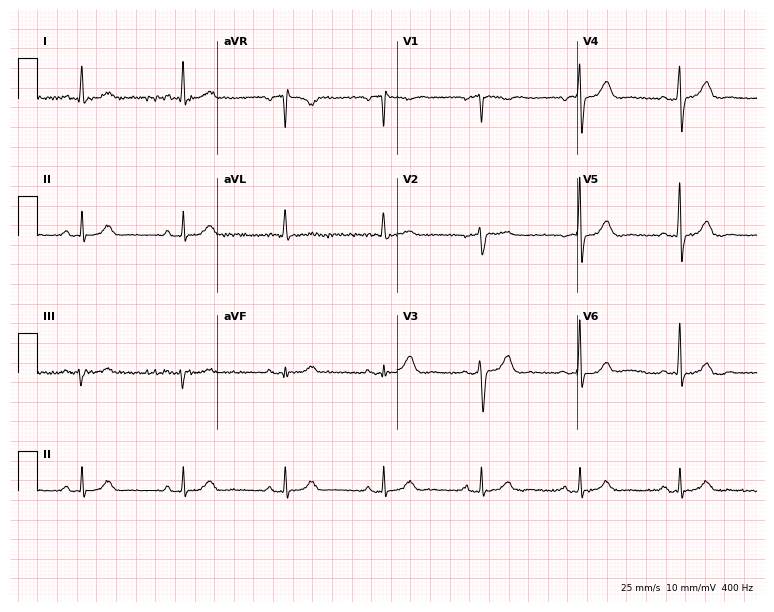
Standard 12-lead ECG recorded from a man, 73 years old. Read as a normal ECG.